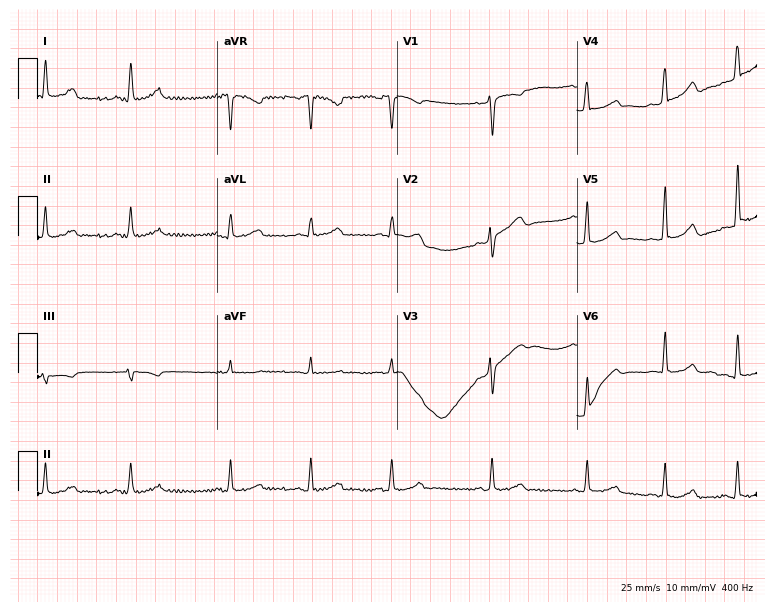
ECG — a 31-year-old female. Screened for six findings — first-degree AV block, right bundle branch block, left bundle branch block, sinus bradycardia, atrial fibrillation, sinus tachycardia — none is recorded. Other findings, if any, are not listed.